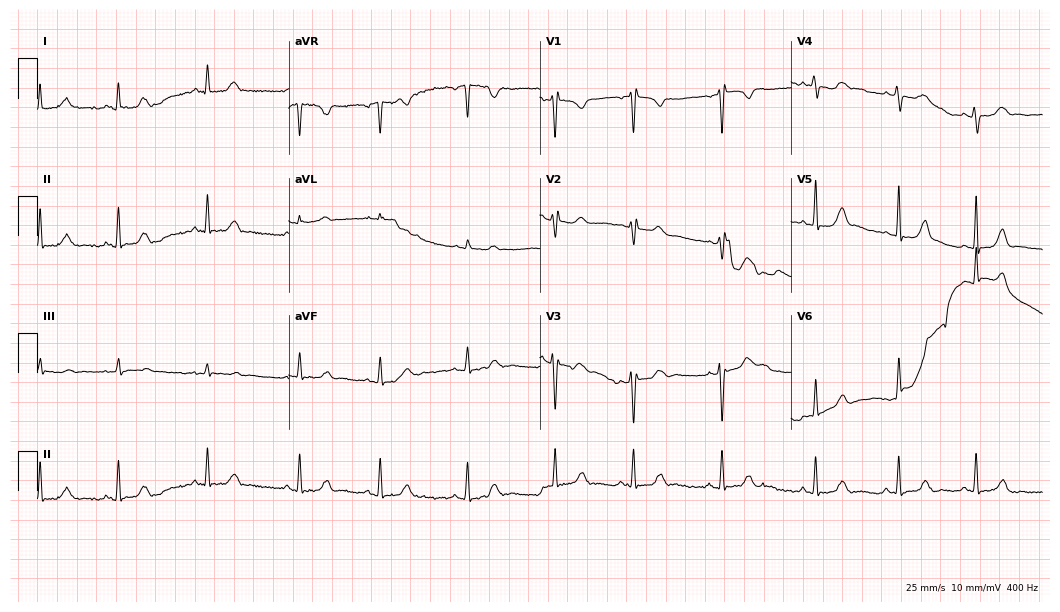
Resting 12-lead electrocardiogram. Patient: a 22-year-old female. Read as a normal ECG.